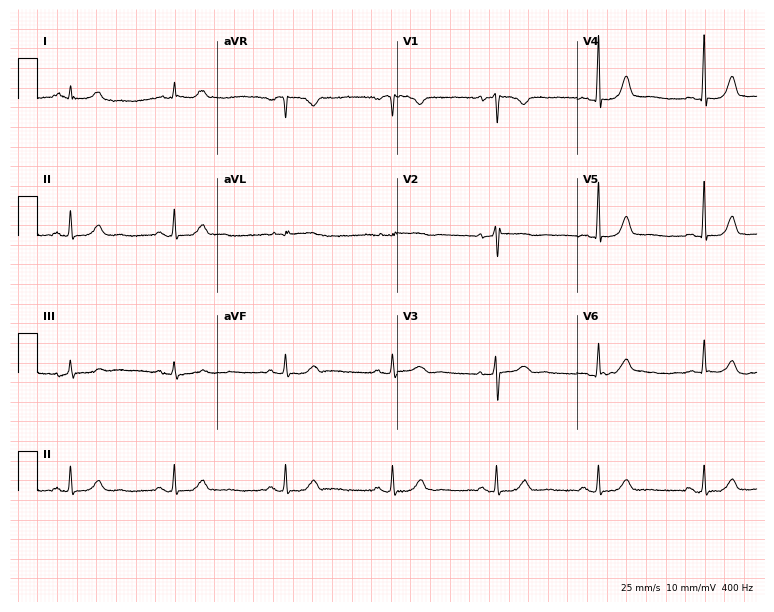
12-lead ECG from a 39-year-old woman (7.3-second recording at 400 Hz). Recorded interpretation: within normal limits.